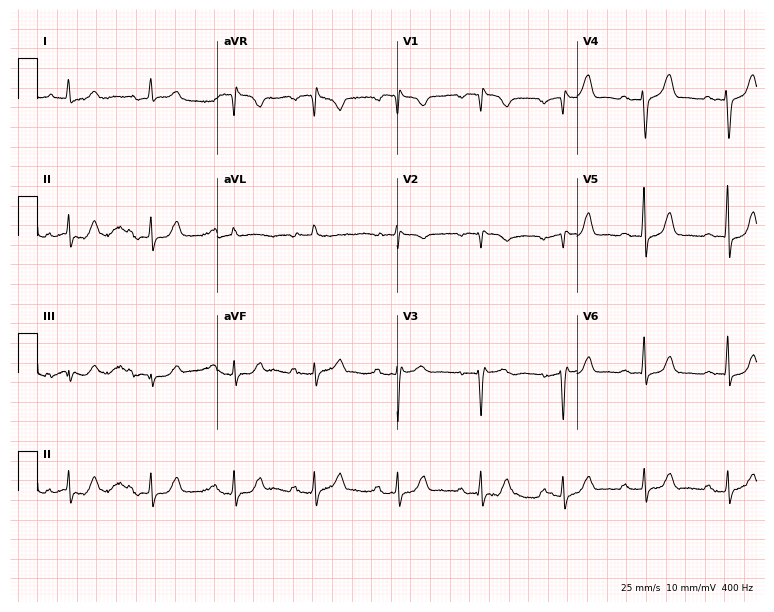
Electrocardiogram (7.3-second recording at 400 Hz), an 85-year-old female patient. Interpretation includes first-degree AV block.